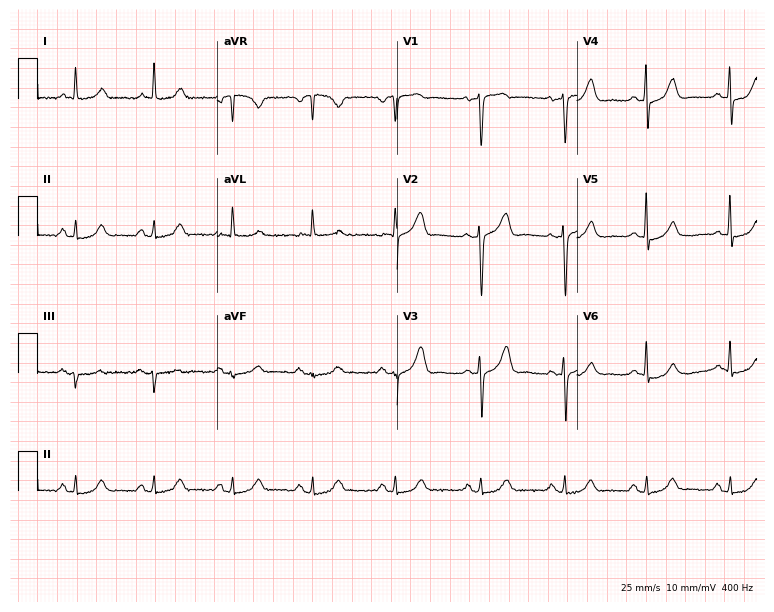
12-lead ECG from a 75-year-old woman. Labelled as a normal ECG.